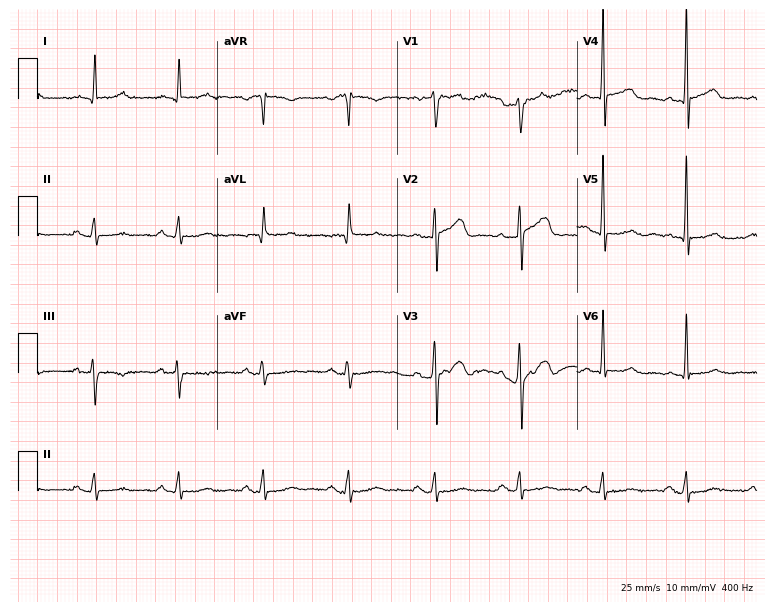
12-lead ECG from a 72-year-old man. Screened for six findings — first-degree AV block, right bundle branch block (RBBB), left bundle branch block (LBBB), sinus bradycardia, atrial fibrillation (AF), sinus tachycardia — none is recorded.